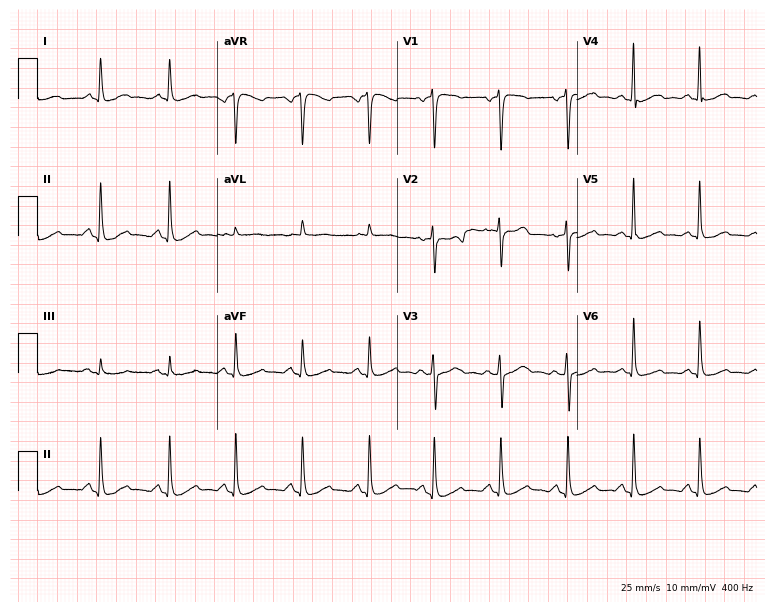
Electrocardiogram (7.3-second recording at 400 Hz), a 48-year-old woman. Overall reading on record: normal ECG.